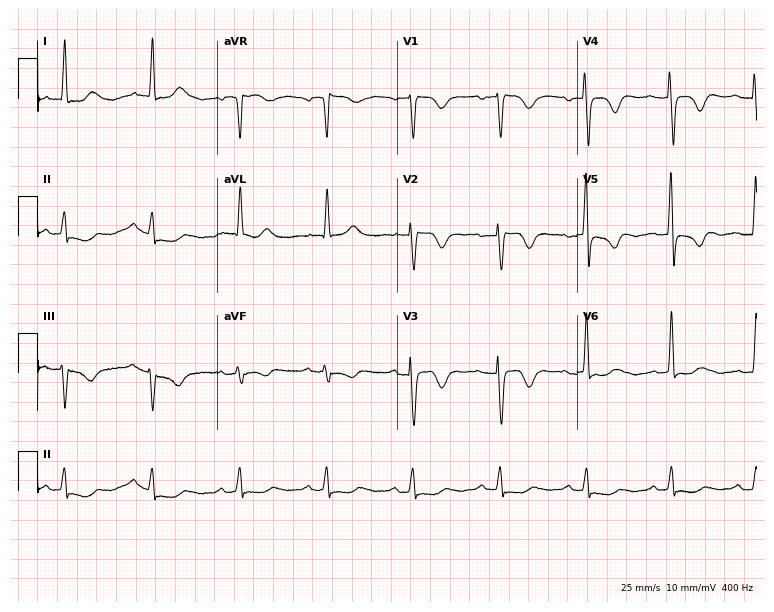
12-lead ECG from an 84-year-old woman. No first-degree AV block, right bundle branch block, left bundle branch block, sinus bradycardia, atrial fibrillation or sinus tachycardia recorded for this tracing.